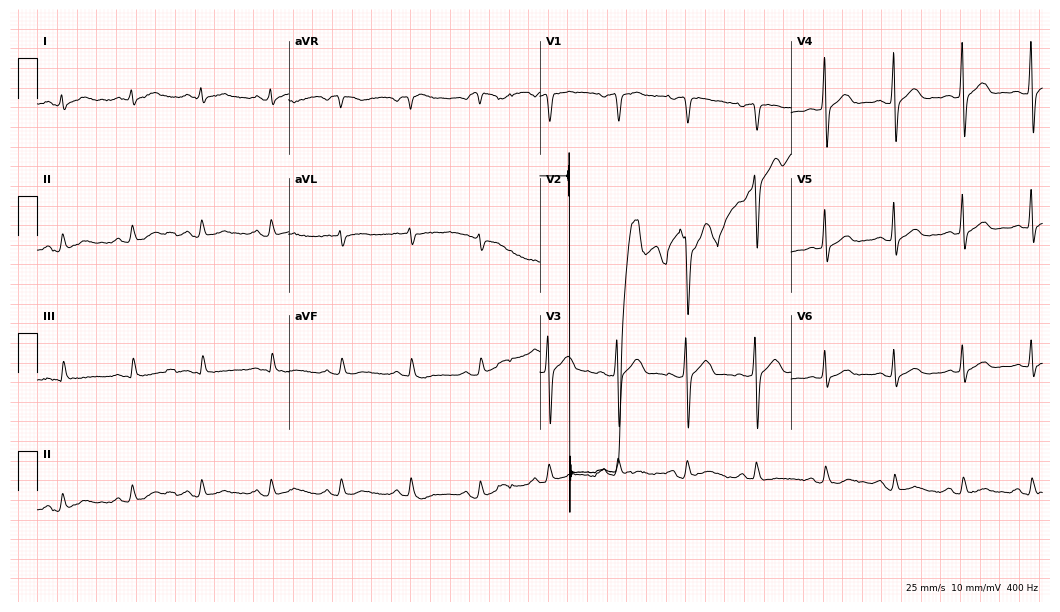
Electrocardiogram, a 56-year-old man. Overall reading on record: normal ECG.